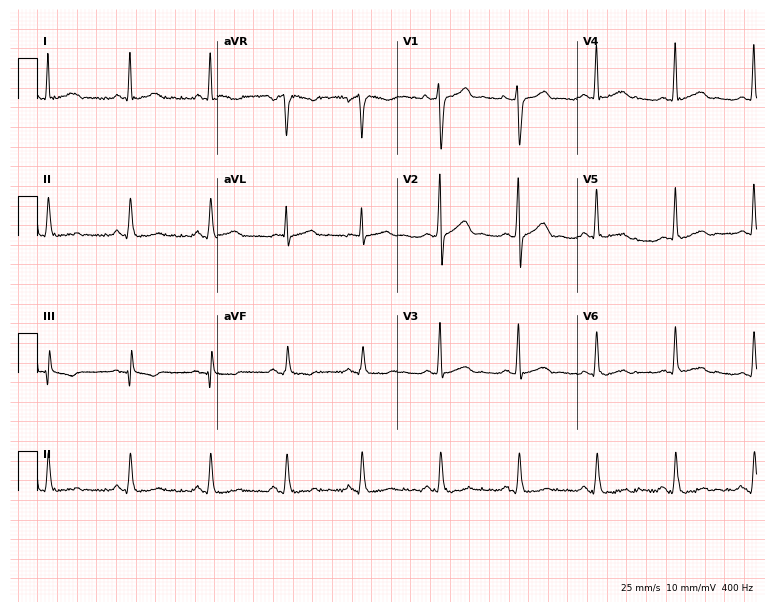
ECG (7.3-second recording at 400 Hz) — a 36-year-old male patient. Labelled as a normal ECG.